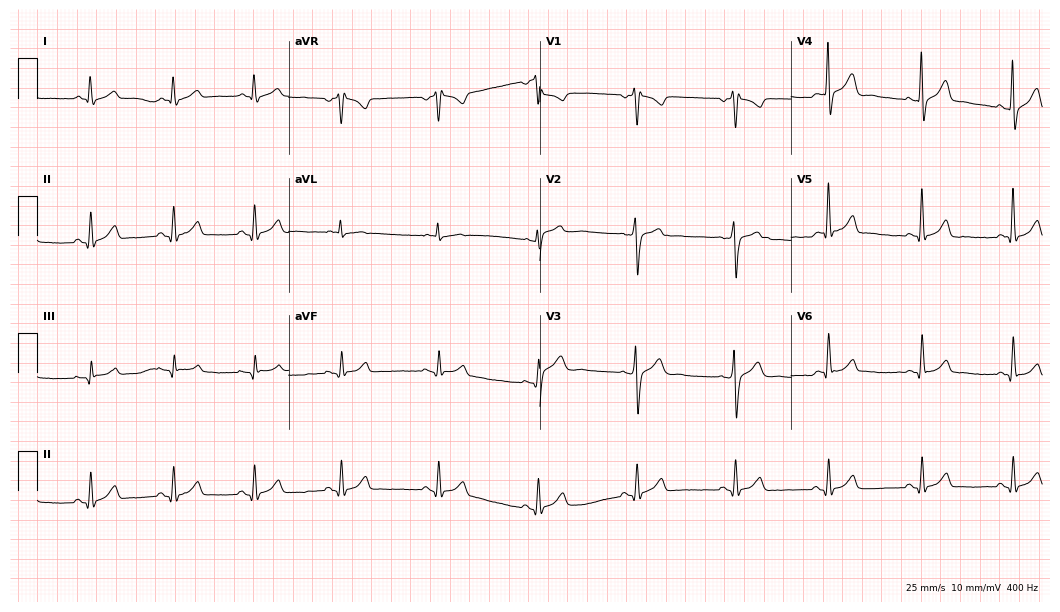
Electrocardiogram (10.2-second recording at 400 Hz), a male, 36 years old. Overall reading on record: normal ECG.